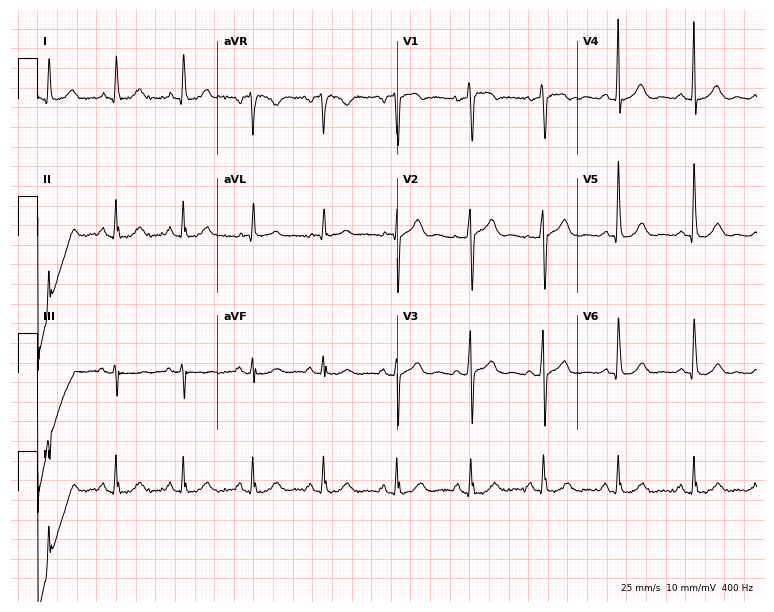
ECG — a man, 72 years old. Labelled as a normal ECG.